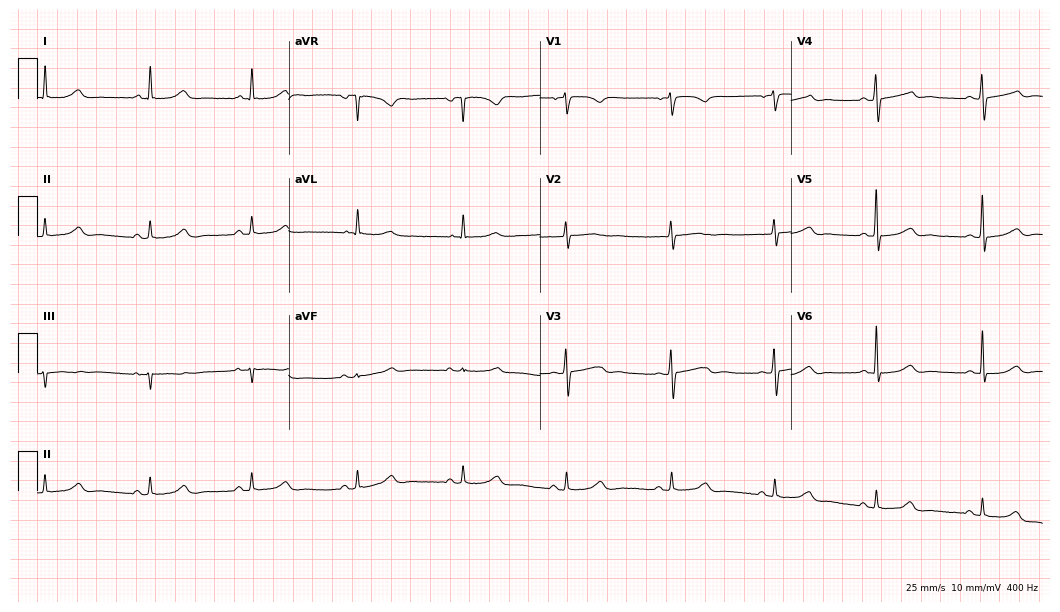
Standard 12-lead ECG recorded from a 53-year-old woman (10.2-second recording at 400 Hz). Read as a normal ECG.